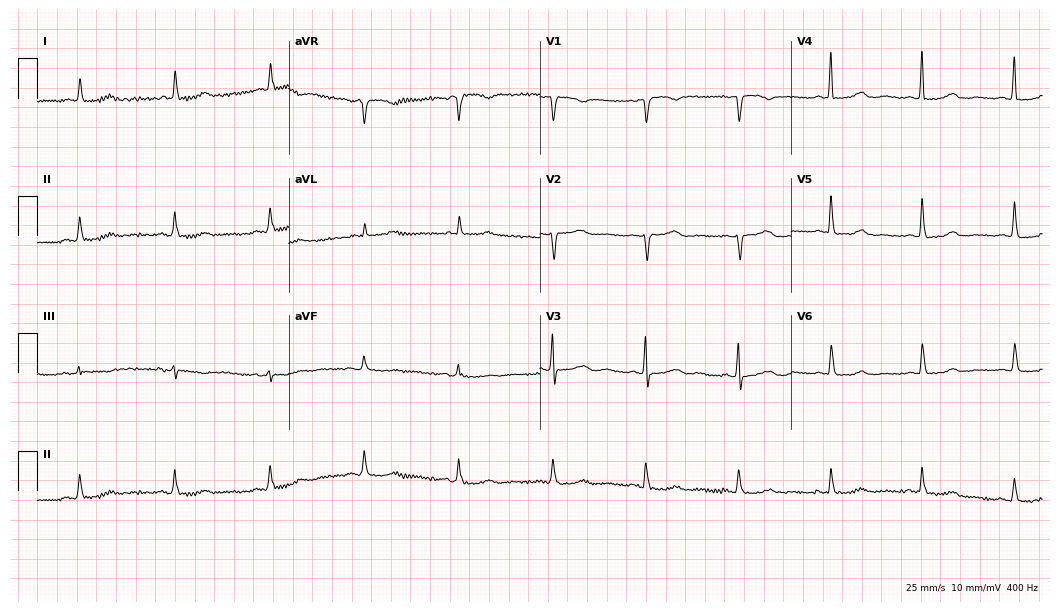
ECG (10.2-second recording at 400 Hz) — a 67-year-old woman. Screened for six findings — first-degree AV block, right bundle branch block, left bundle branch block, sinus bradycardia, atrial fibrillation, sinus tachycardia — none is recorded.